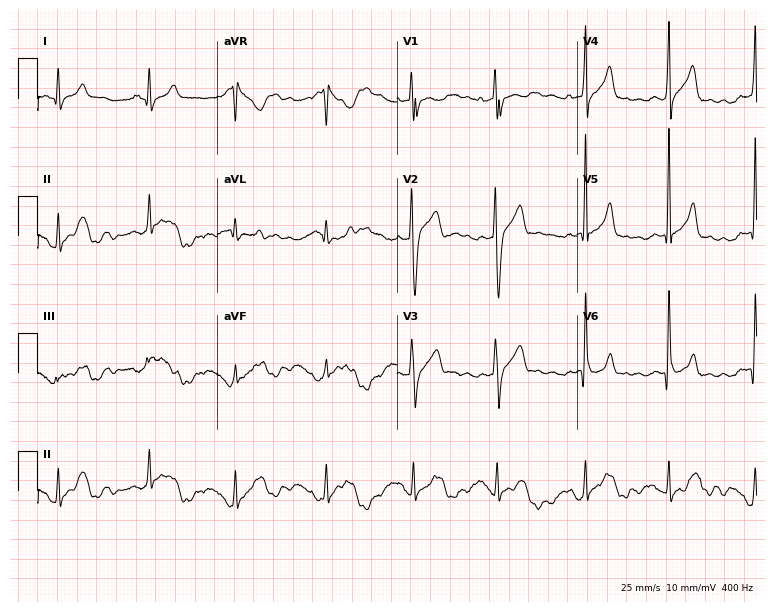
ECG — a 38-year-old man. Screened for six findings — first-degree AV block, right bundle branch block, left bundle branch block, sinus bradycardia, atrial fibrillation, sinus tachycardia — none is recorded. Other findings, if any, are not listed.